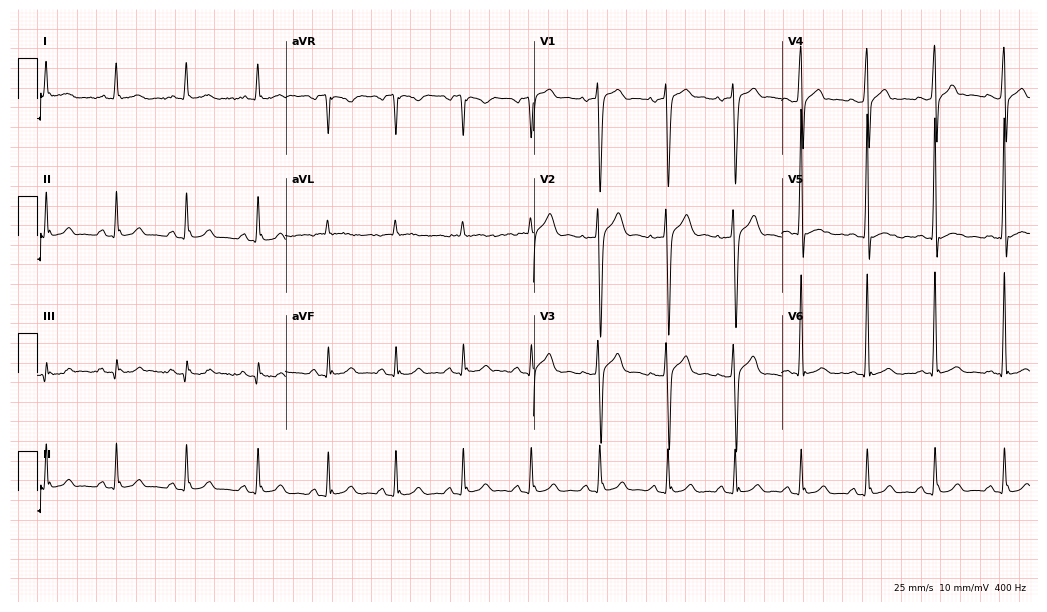
ECG — a 32-year-old man. Screened for six findings — first-degree AV block, right bundle branch block (RBBB), left bundle branch block (LBBB), sinus bradycardia, atrial fibrillation (AF), sinus tachycardia — none is recorded. Only these six findings were labelled.